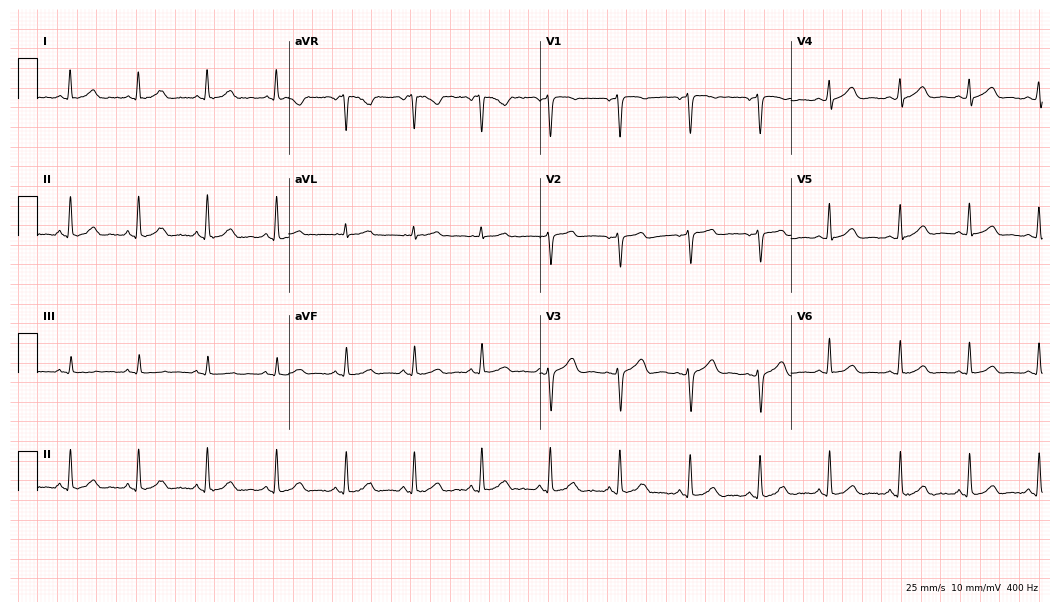
Electrocardiogram (10.2-second recording at 400 Hz), a 38-year-old female. Of the six screened findings (first-degree AV block, right bundle branch block, left bundle branch block, sinus bradycardia, atrial fibrillation, sinus tachycardia), none is recorded. Only these six findings were labelled.